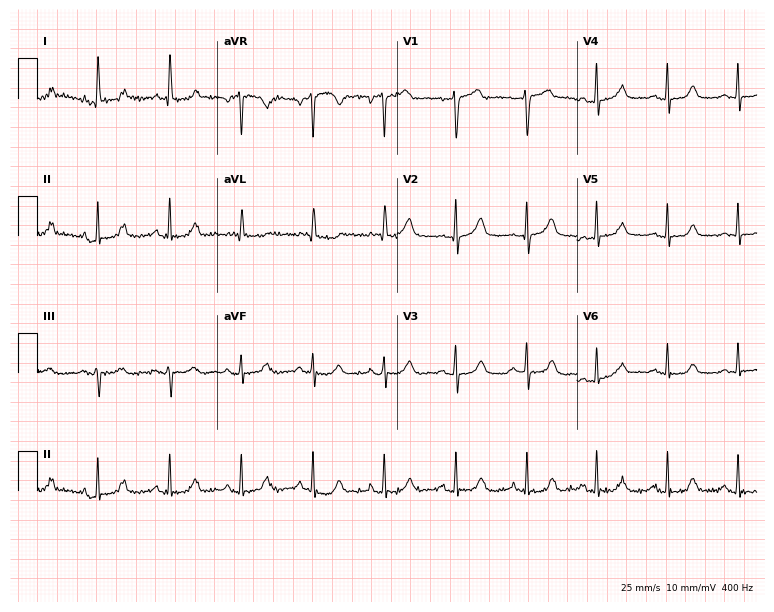
Electrocardiogram, a 63-year-old female. Overall reading on record: normal ECG.